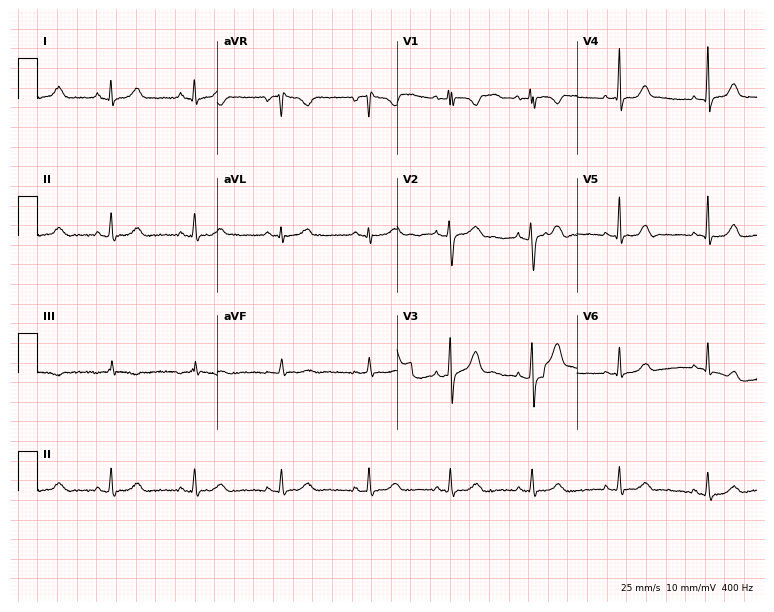
Electrocardiogram, a 21-year-old woman. Overall reading on record: normal ECG.